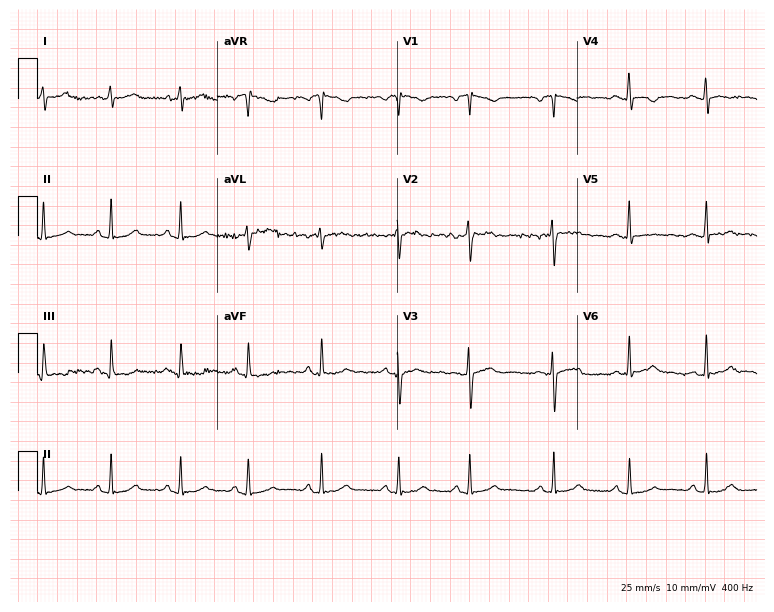
Resting 12-lead electrocardiogram (7.3-second recording at 400 Hz). Patient: a female, 18 years old. None of these six findings is recorded: first-degree AV block, right bundle branch block (RBBB), left bundle branch block (LBBB), sinus bradycardia, atrial fibrillation (AF), sinus tachycardia. Only these six findings were labelled.